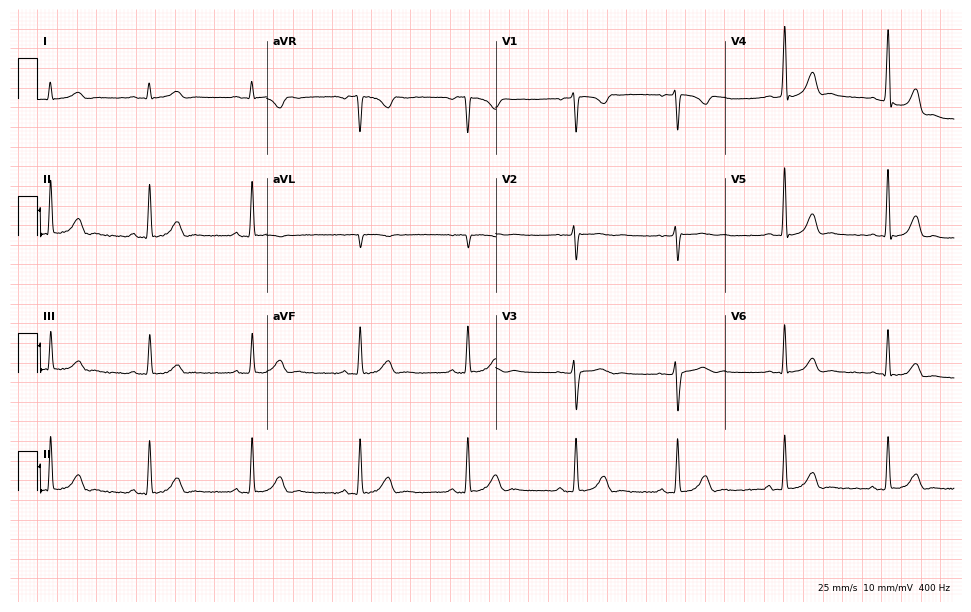
ECG (9.3-second recording at 400 Hz) — a woman, 18 years old. Labelled as a normal ECG.